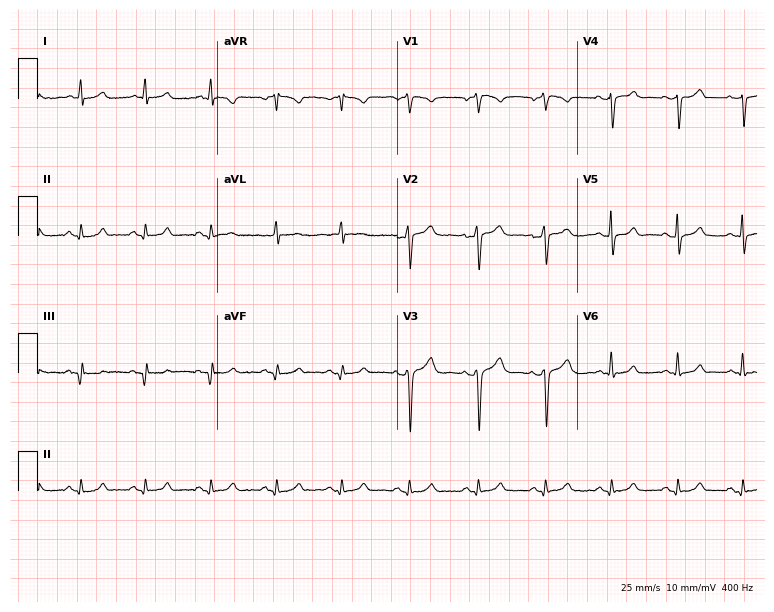
12-lead ECG from a 43-year-old male patient. Screened for six findings — first-degree AV block, right bundle branch block, left bundle branch block, sinus bradycardia, atrial fibrillation, sinus tachycardia — none is recorded. Only these six findings were labelled.